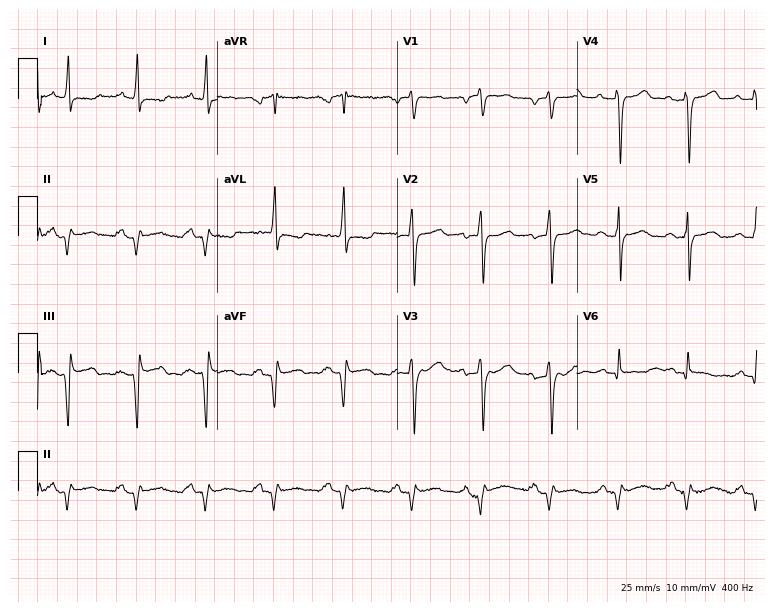
12-lead ECG from a female patient, 65 years old. Screened for six findings — first-degree AV block, right bundle branch block, left bundle branch block, sinus bradycardia, atrial fibrillation, sinus tachycardia — none is recorded. Other findings, if any, are not listed.